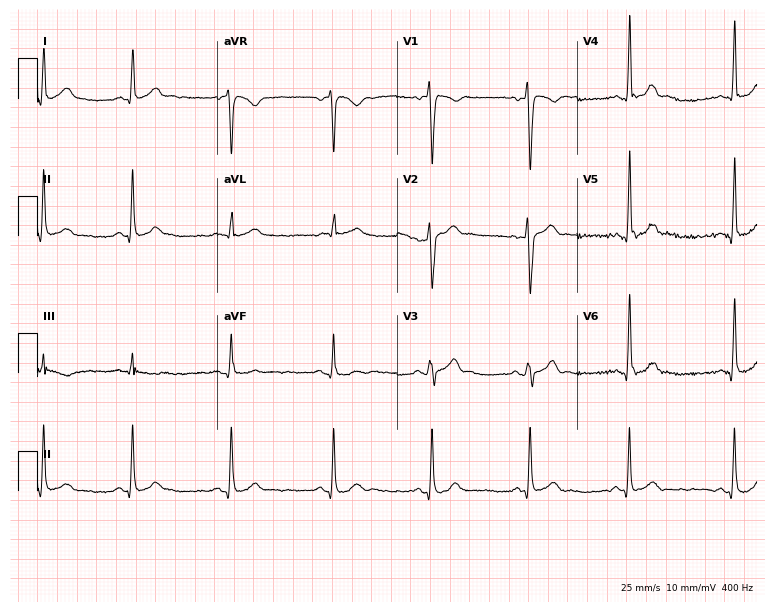
12-lead ECG from a male patient, 25 years old (7.3-second recording at 400 Hz). Recorded interpretation: within normal limits.